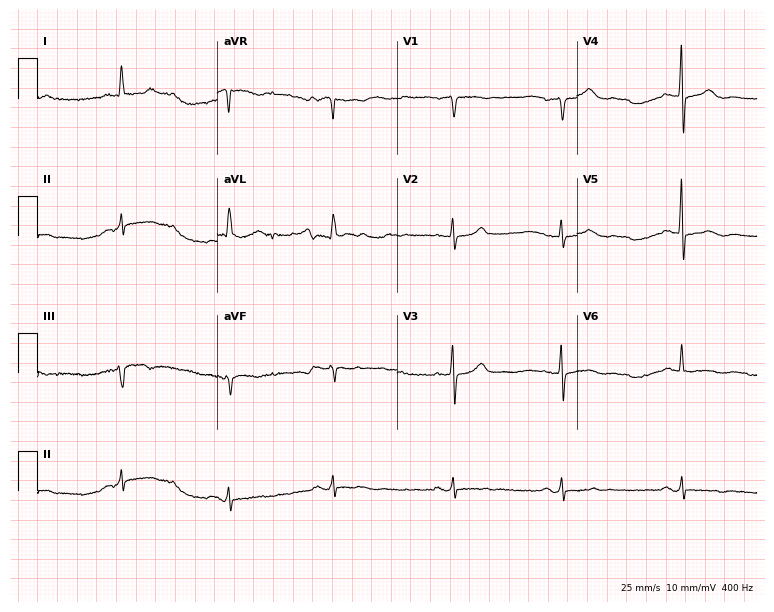
Standard 12-lead ECG recorded from a 66-year-old woman. None of these six findings is recorded: first-degree AV block, right bundle branch block (RBBB), left bundle branch block (LBBB), sinus bradycardia, atrial fibrillation (AF), sinus tachycardia.